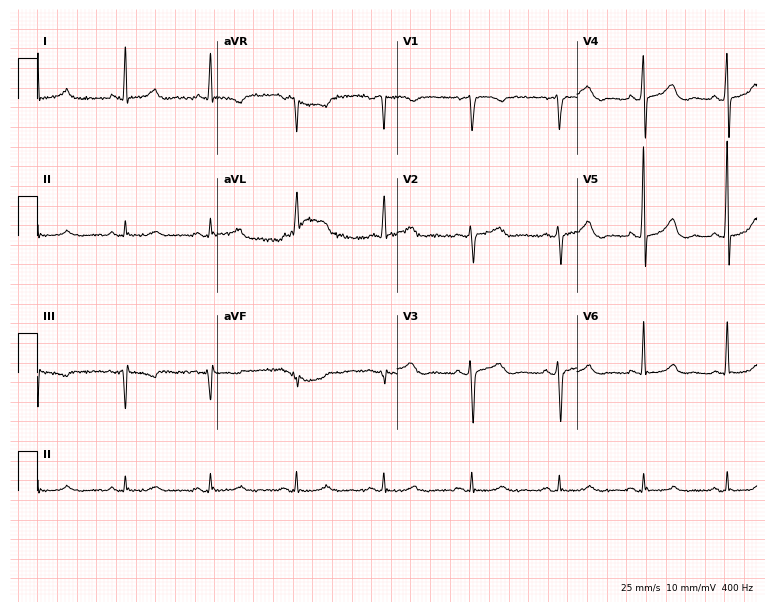
Electrocardiogram (7.3-second recording at 400 Hz), a female patient, 64 years old. Overall reading on record: normal ECG.